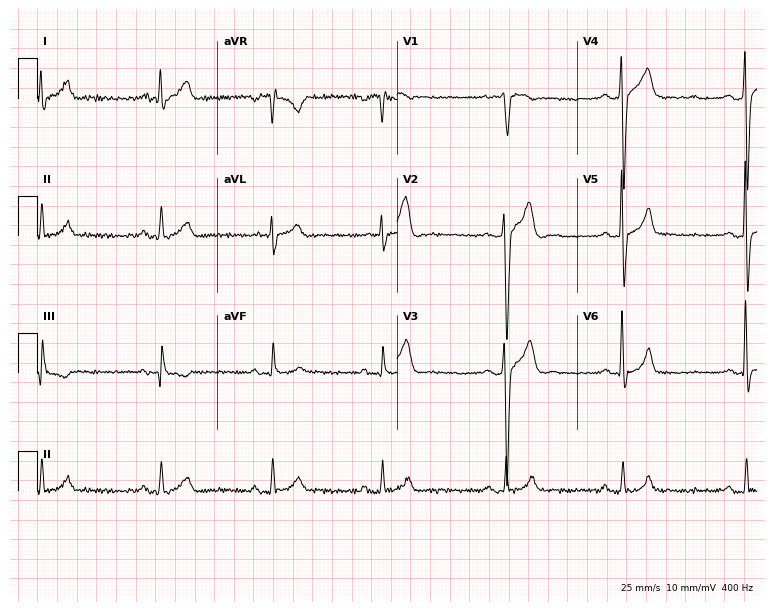
Standard 12-lead ECG recorded from a 37-year-old male. None of these six findings is recorded: first-degree AV block, right bundle branch block (RBBB), left bundle branch block (LBBB), sinus bradycardia, atrial fibrillation (AF), sinus tachycardia.